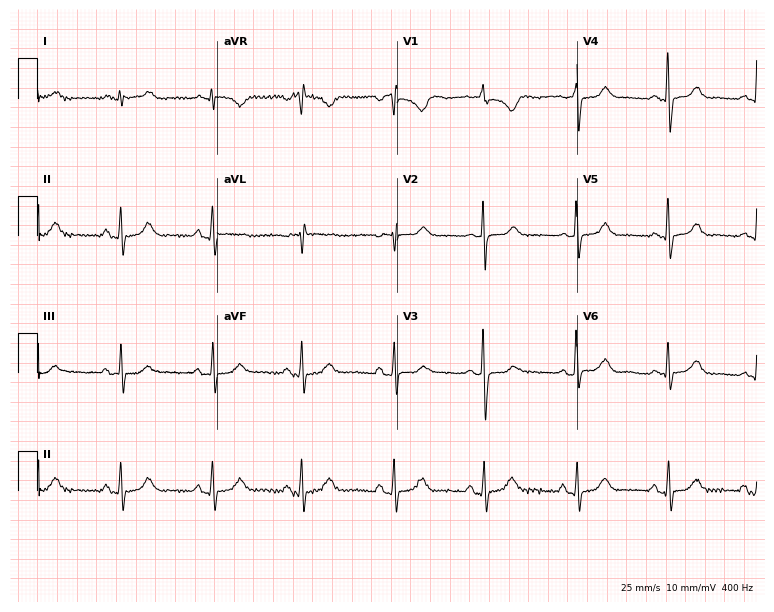
Resting 12-lead electrocardiogram (7.3-second recording at 400 Hz). Patient: a female, 74 years old. Read as a normal ECG.